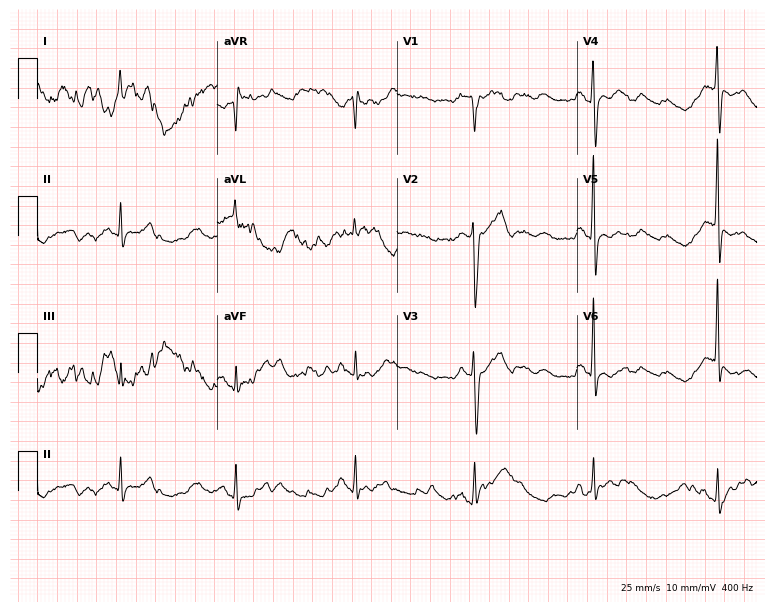
12-lead ECG from a man, 59 years old (7.3-second recording at 400 Hz). No first-degree AV block, right bundle branch block, left bundle branch block, sinus bradycardia, atrial fibrillation or sinus tachycardia recorded for this tracing. Findings outside these six are not listed.